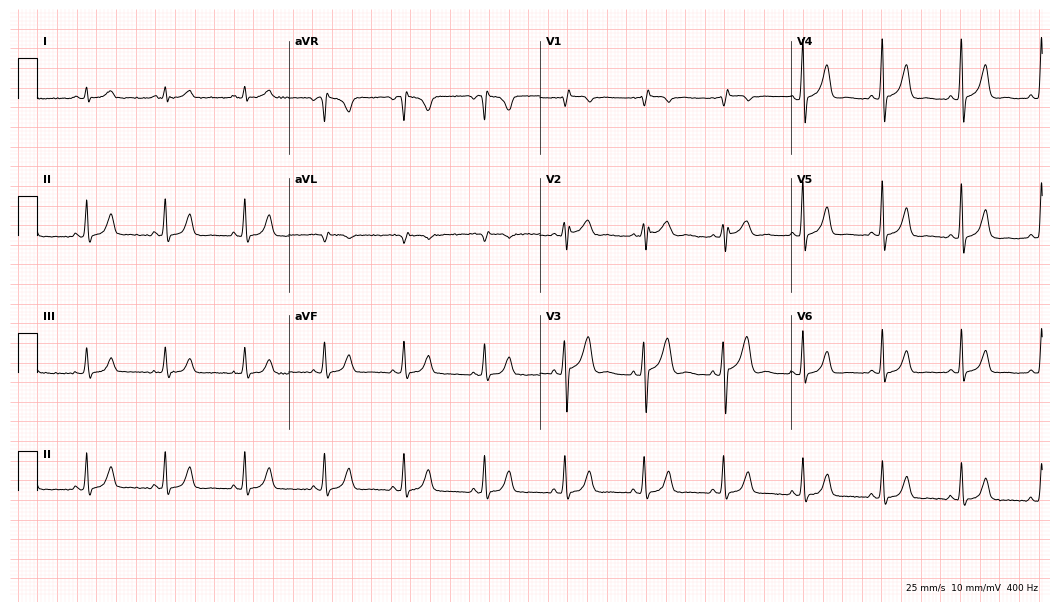
Electrocardiogram, a man, 57 years old. Of the six screened findings (first-degree AV block, right bundle branch block, left bundle branch block, sinus bradycardia, atrial fibrillation, sinus tachycardia), none is recorded.